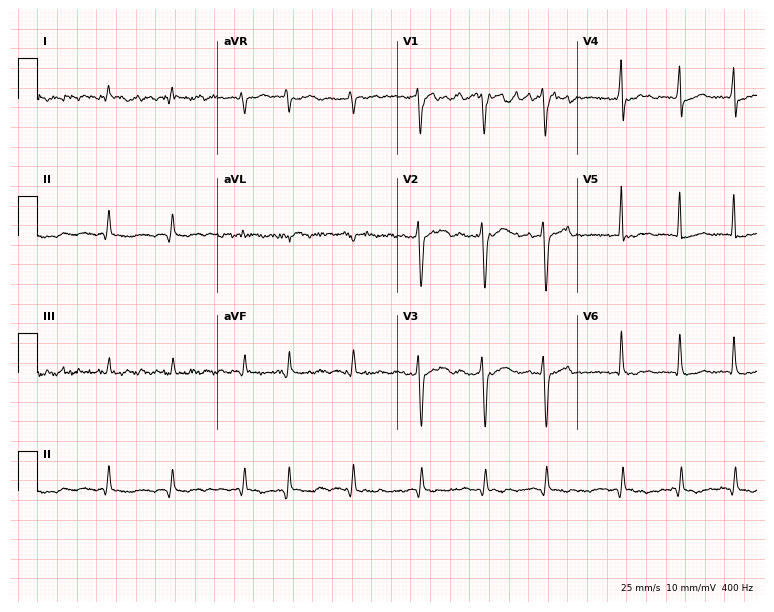
12-lead ECG from a 73-year-old male (7.3-second recording at 400 Hz). Shows atrial fibrillation.